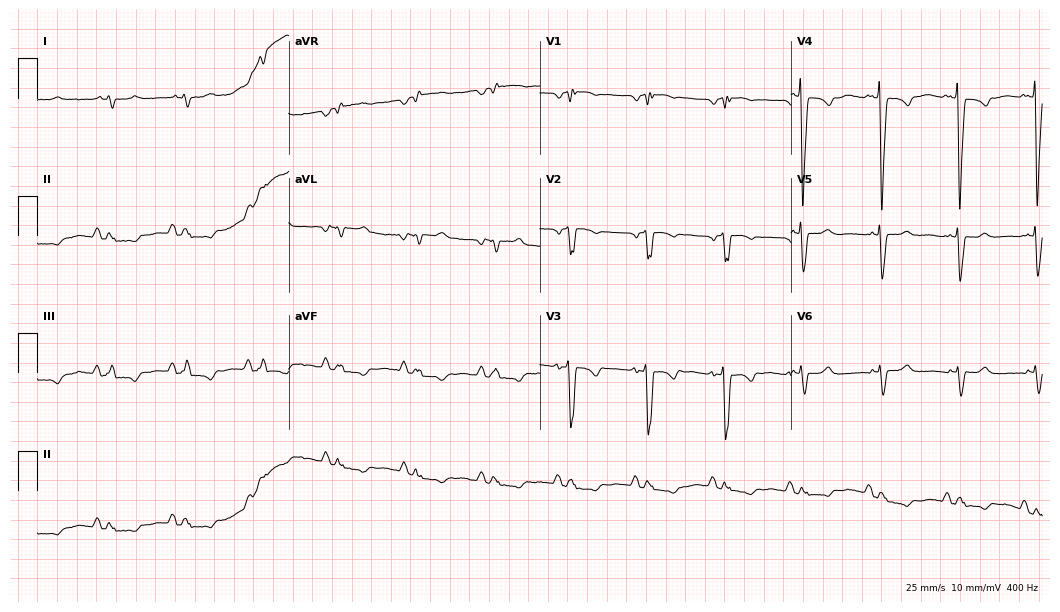
Standard 12-lead ECG recorded from a man, 70 years old. None of these six findings is recorded: first-degree AV block, right bundle branch block (RBBB), left bundle branch block (LBBB), sinus bradycardia, atrial fibrillation (AF), sinus tachycardia.